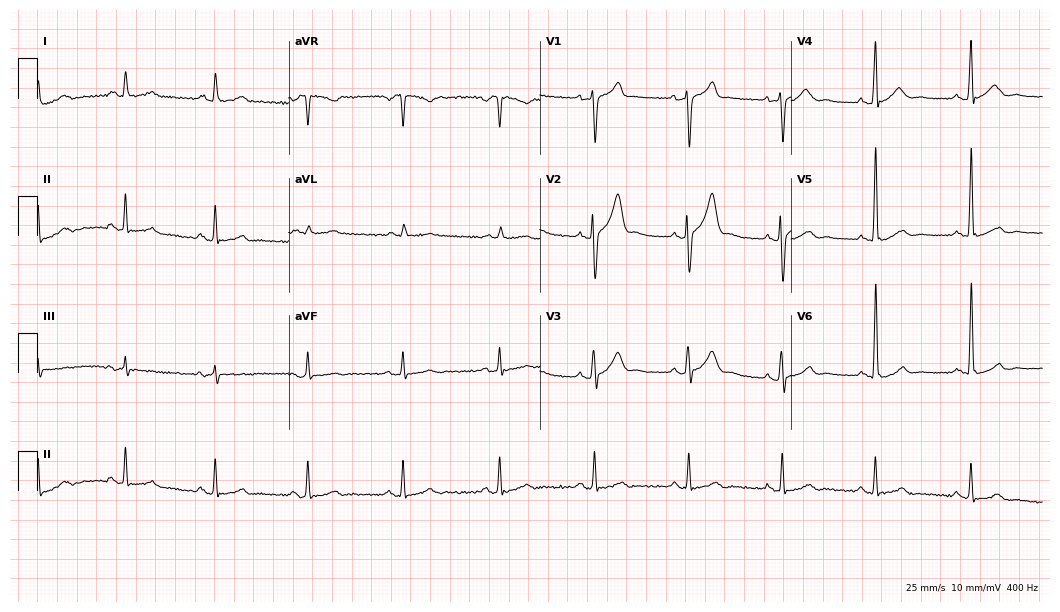
Electrocardiogram, a male, 52 years old. Overall reading on record: normal ECG.